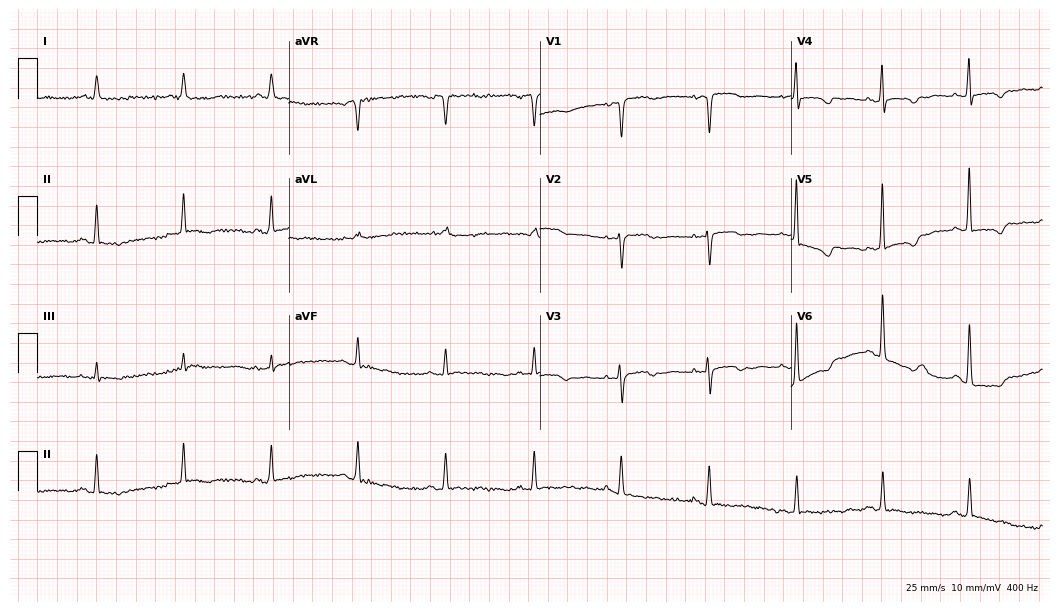
Electrocardiogram (10.2-second recording at 400 Hz), a 69-year-old female. Of the six screened findings (first-degree AV block, right bundle branch block, left bundle branch block, sinus bradycardia, atrial fibrillation, sinus tachycardia), none is recorded.